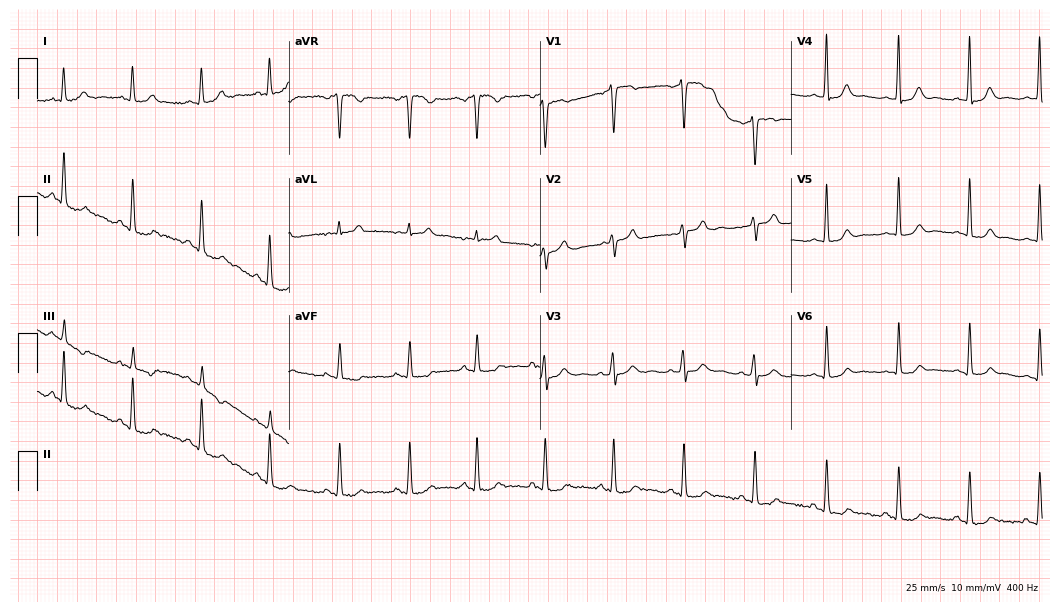
12-lead ECG from a 32-year-old female. Recorded interpretation: within normal limits.